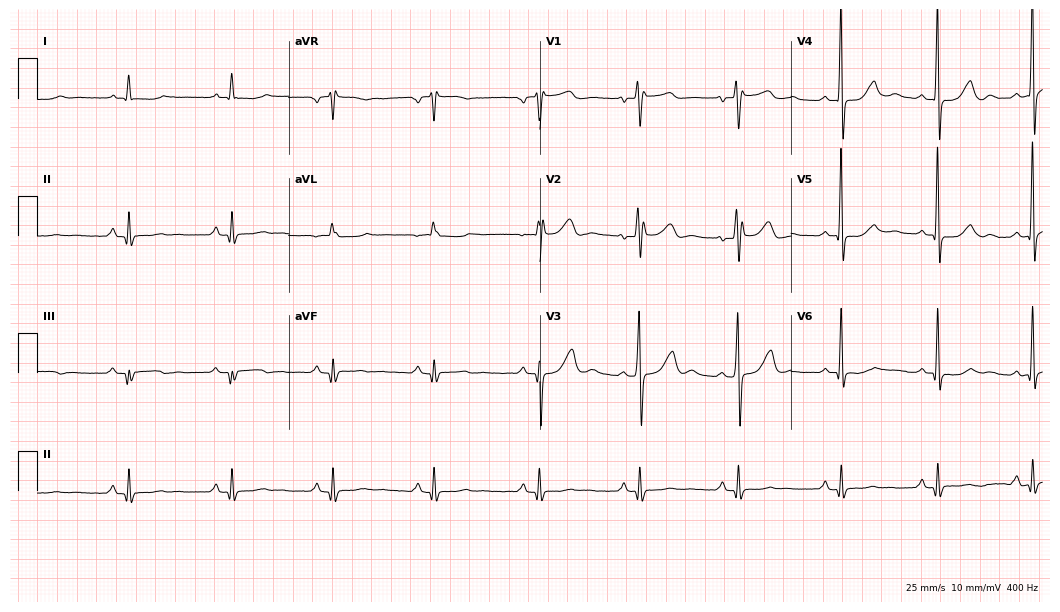
12-lead ECG from a woman, 35 years old. No first-degree AV block, right bundle branch block, left bundle branch block, sinus bradycardia, atrial fibrillation or sinus tachycardia recorded for this tracing. Other findings, if any, are not listed.